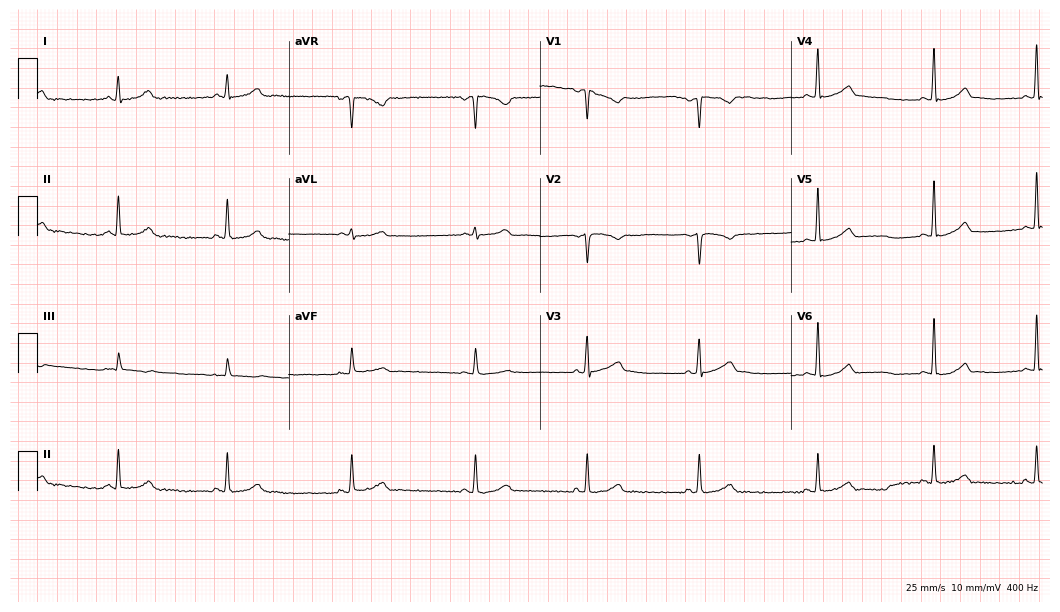
ECG (10.2-second recording at 400 Hz) — a 26-year-old female patient. Screened for six findings — first-degree AV block, right bundle branch block (RBBB), left bundle branch block (LBBB), sinus bradycardia, atrial fibrillation (AF), sinus tachycardia — none is recorded.